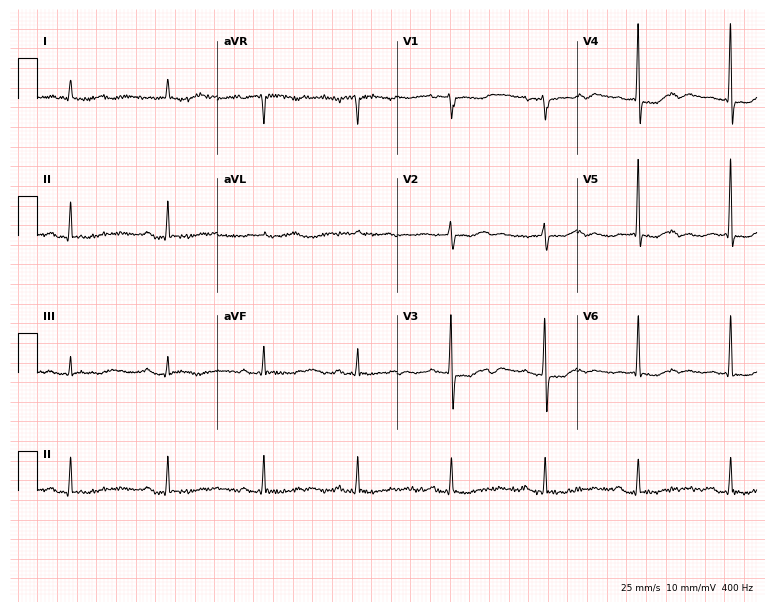
12-lead ECG from a 76-year-old female. Screened for six findings — first-degree AV block, right bundle branch block, left bundle branch block, sinus bradycardia, atrial fibrillation, sinus tachycardia — none is recorded. Only these six findings were labelled.